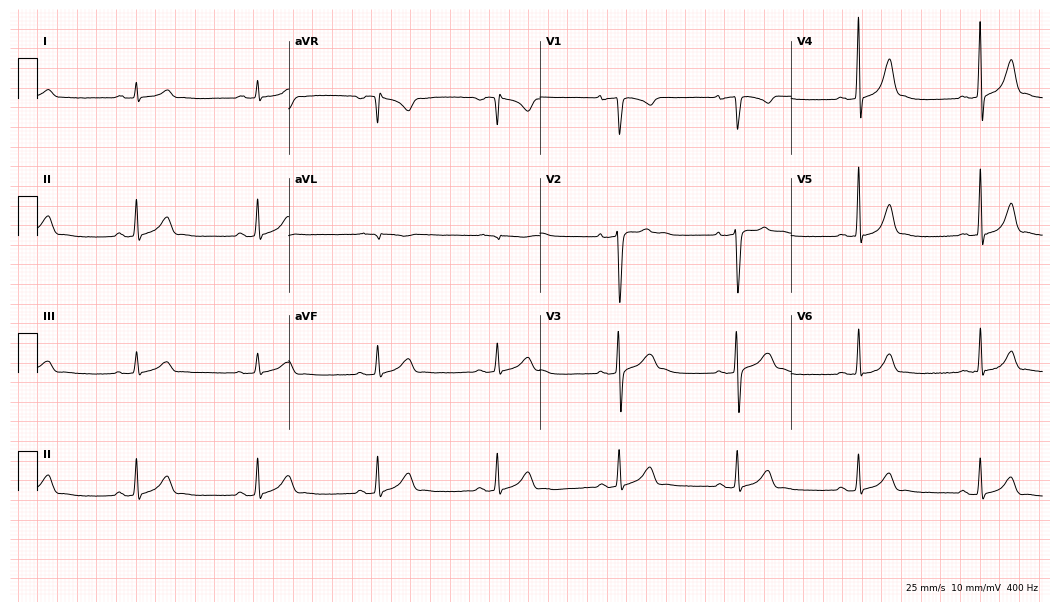
Standard 12-lead ECG recorded from a 47-year-old male patient. The tracing shows sinus bradycardia (a sinus rate of 50 beats per minute or less).